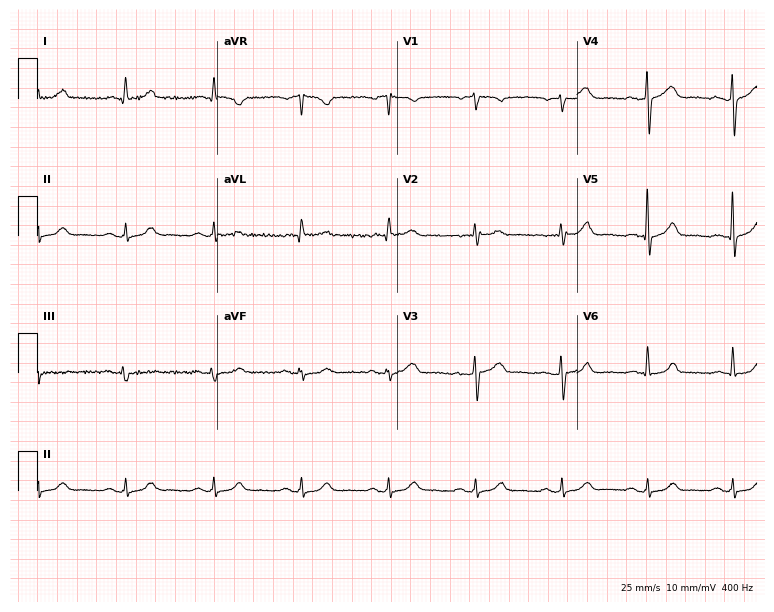
12-lead ECG (7.3-second recording at 400 Hz) from a man, 65 years old. Screened for six findings — first-degree AV block, right bundle branch block (RBBB), left bundle branch block (LBBB), sinus bradycardia, atrial fibrillation (AF), sinus tachycardia — none is recorded.